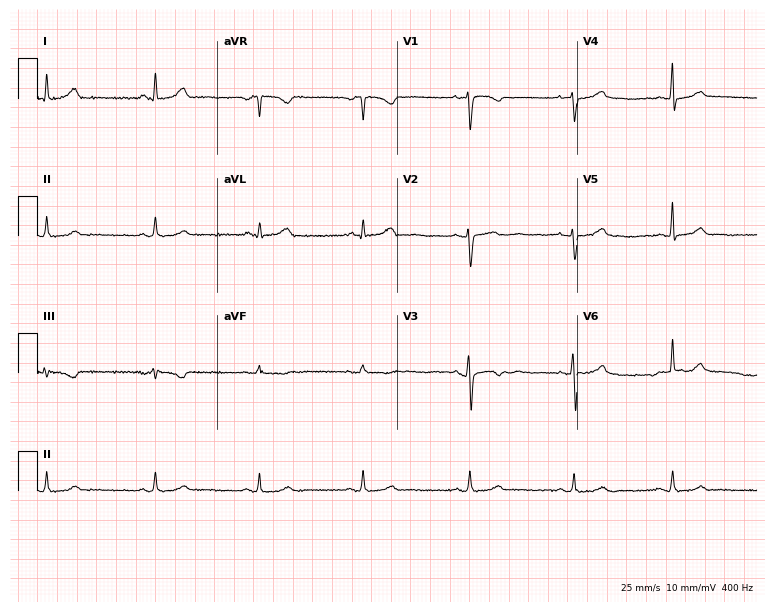
12-lead ECG from a 34-year-old female patient (7.3-second recording at 400 Hz). Recorded interpretation: within normal limits.